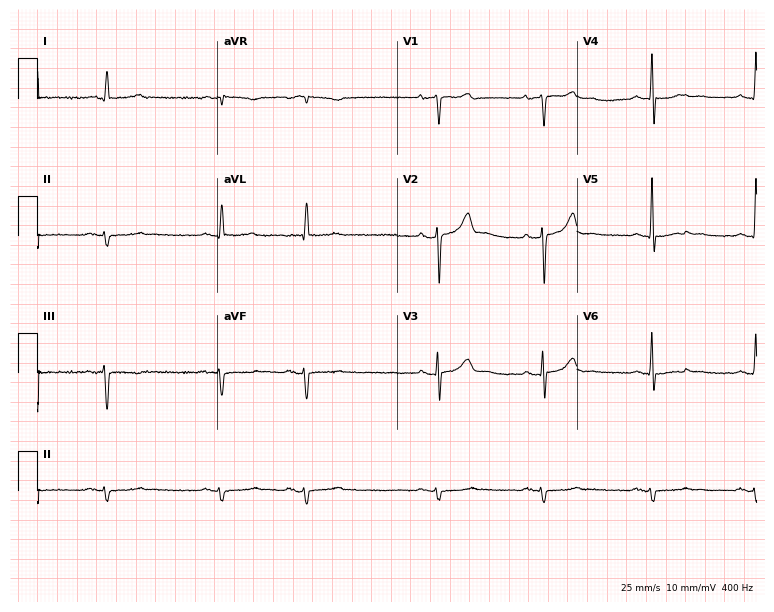
Resting 12-lead electrocardiogram (7.3-second recording at 400 Hz). Patient: a 75-year-old male. None of these six findings is recorded: first-degree AV block, right bundle branch block, left bundle branch block, sinus bradycardia, atrial fibrillation, sinus tachycardia.